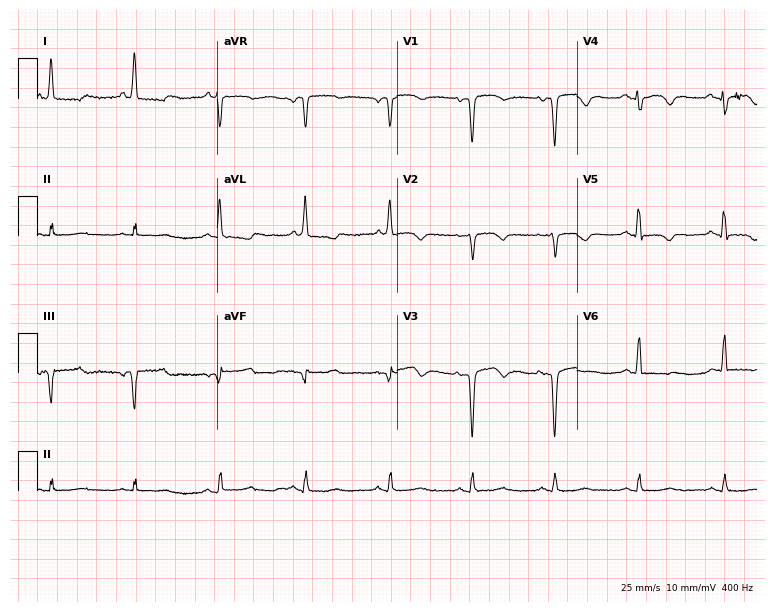
Resting 12-lead electrocardiogram (7.3-second recording at 400 Hz). Patient: a female, 59 years old. None of these six findings is recorded: first-degree AV block, right bundle branch block, left bundle branch block, sinus bradycardia, atrial fibrillation, sinus tachycardia.